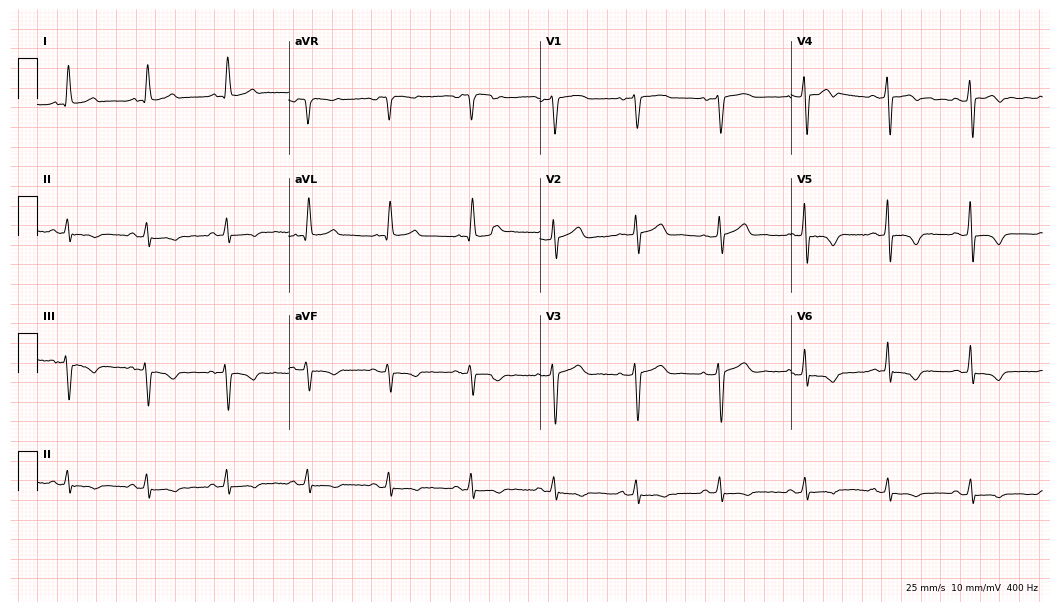
Resting 12-lead electrocardiogram. Patient: a 66-year-old male. None of these six findings is recorded: first-degree AV block, right bundle branch block, left bundle branch block, sinus bradycardia, atrial fibrillation, sinus tachycardia. Findings outside these six are not listed.